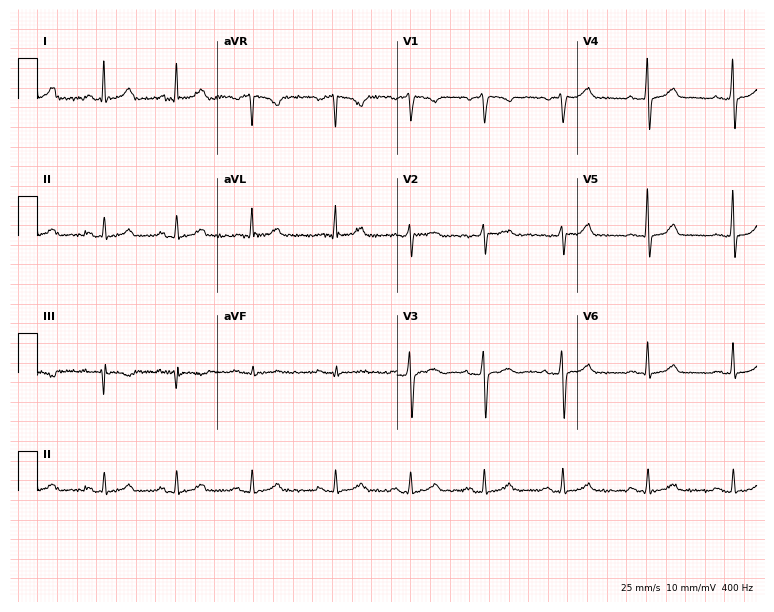
Resting 12-lead electrocardiogram (7.3-second recording at 400 Hz). Patient: a woman, 34 years old. Read as a normal ECG.